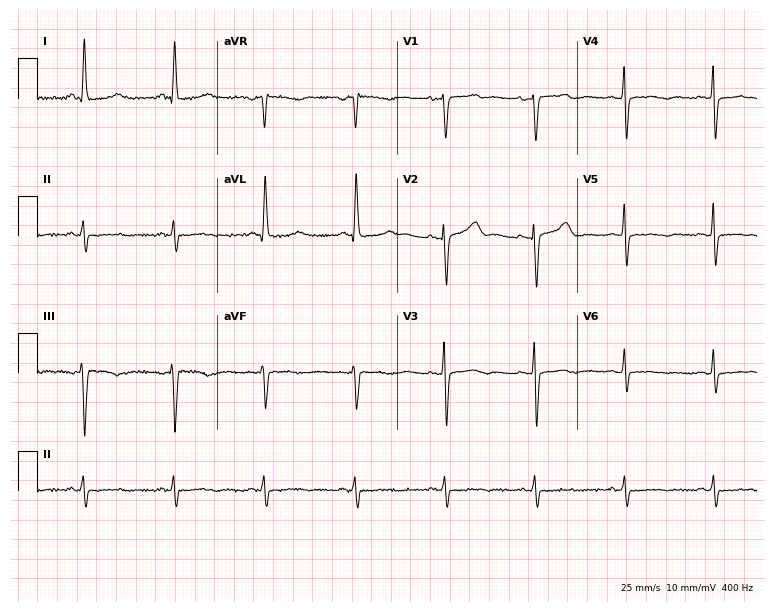
ECG — a woman, 54 years old. Screened for six findings — first-degree AV block, right bundle branch block (RBBB), left bundle branch block (LBBB), sinus bradycardia, atrial fibrillation (AF), sinus tachycardia — none is recorded. Other findings, if any, are not listed.